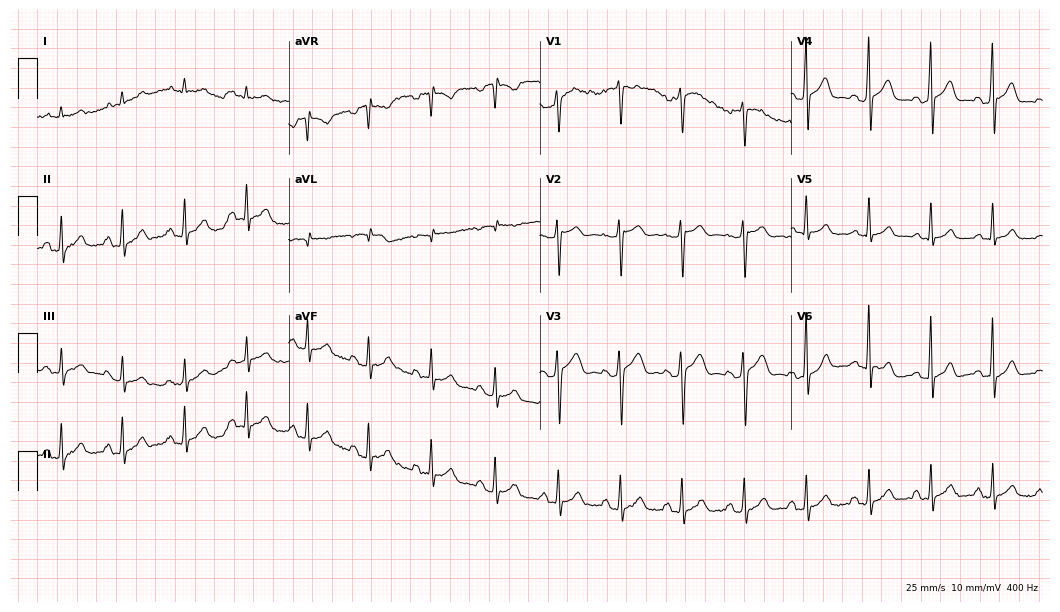
12-lead ECG from a male patient, 38 years old. Labelled as a normal ECG.